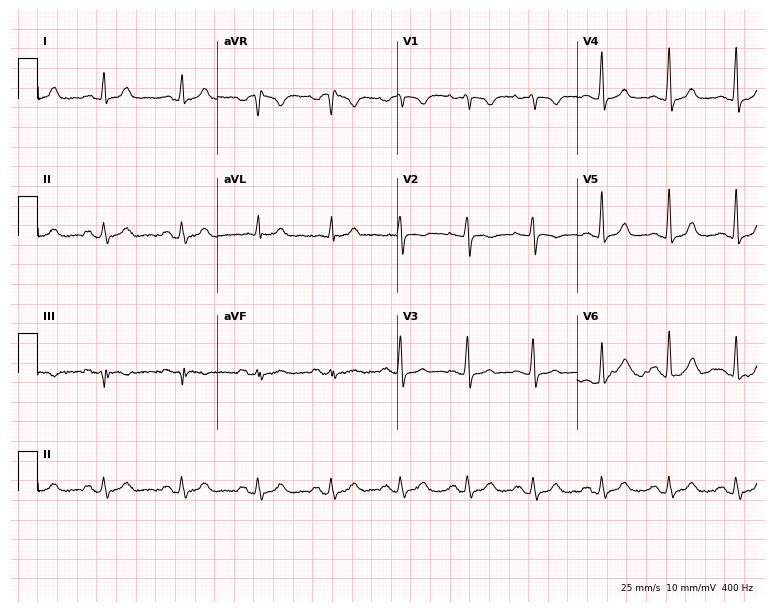
Electrocardiogram (7.3-second recording at 400 Hz), a 32-year-old woman. Of the six screened findings (first-degree AV block, right bundle branch block, left bundle branch block, sinus bradycardia, atrial fibrillation, sinus tachycardia), none is recorded.